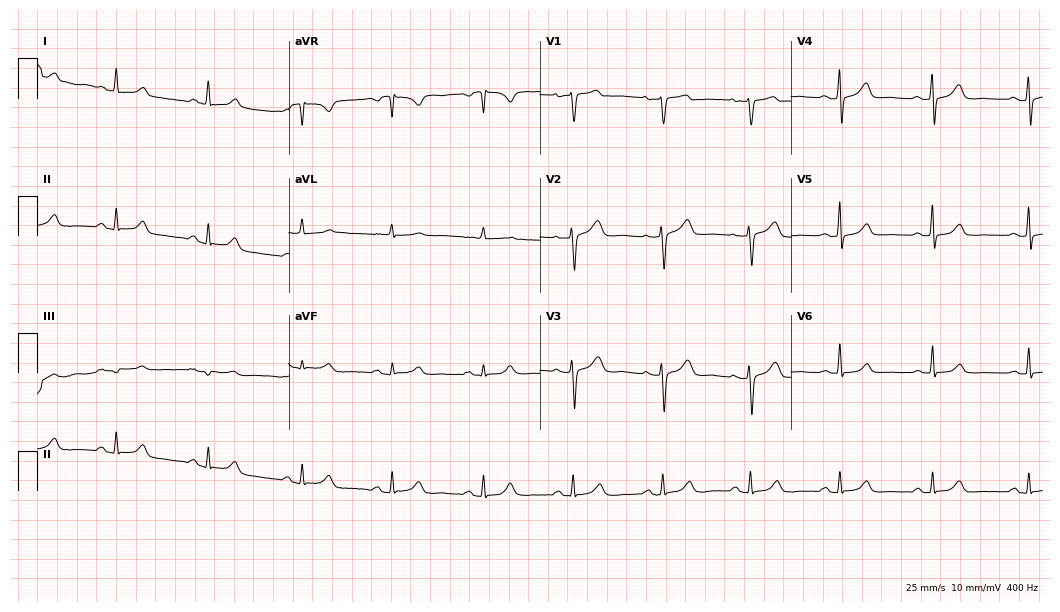
ECG (10.2-second recording at 400 Hz) — a female, 61 years old. Labelled as a normal ECG.